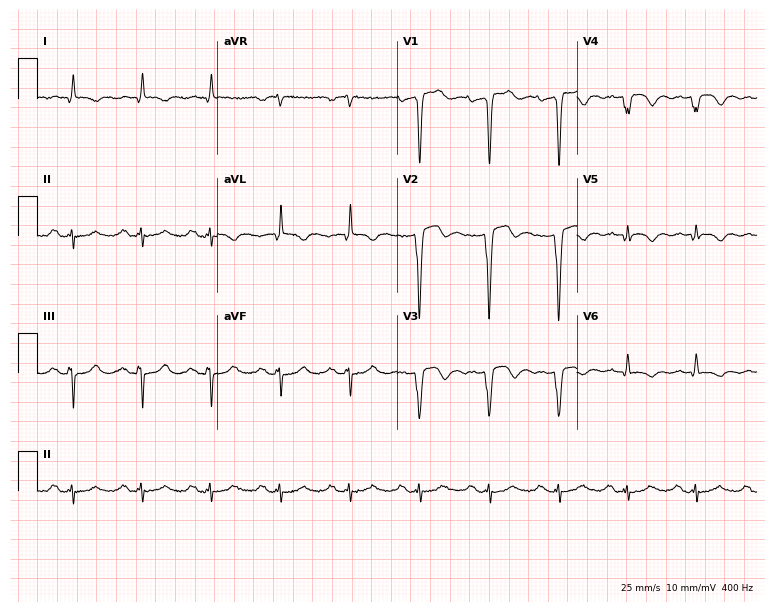
12-lead ECG from a male patient, 72 years old. Screened for six findings — first-degree AV block, right bundle branch block, left bundle branch block, sinus bradycardia, atrial fibrillation, sinus tachycardia — none is recorded.